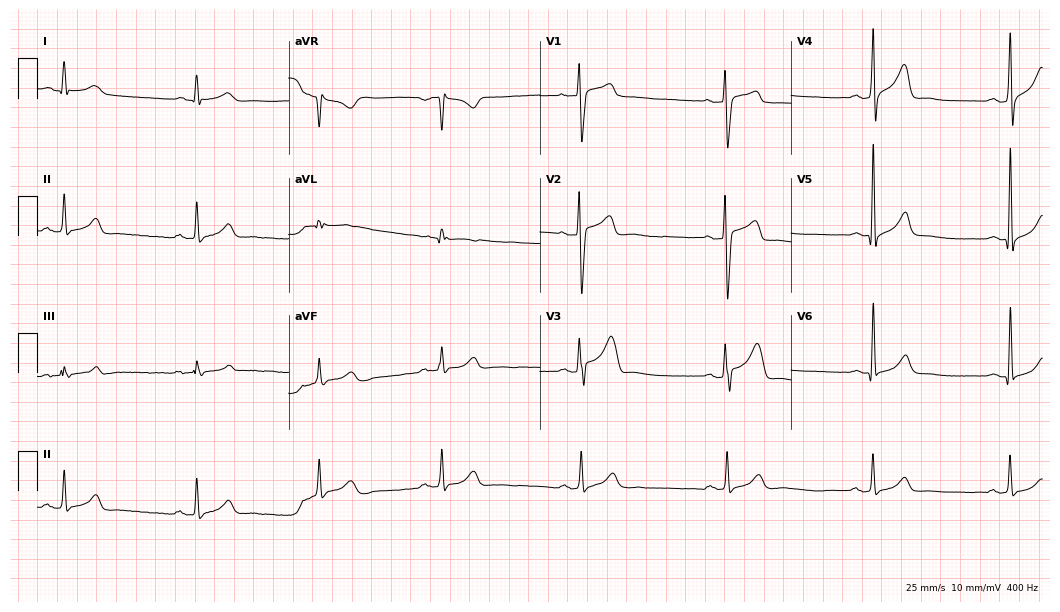
ECG — a male, 39 years old. Findings include sinus bradycardia (a sinus rate of 50 beats per minute or less).